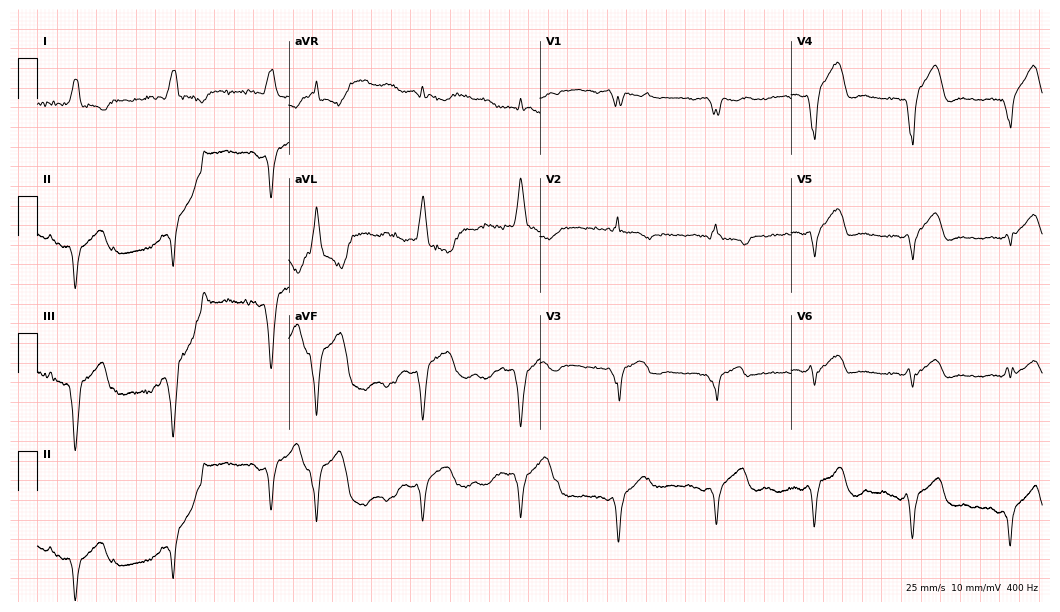
Resting 12-lead electrocardiogram. Patient: an 85-year-old female. None of these six findings is recorded: first-degree AV block, right bundle branch block, left bundle branch block, sinus bradycardia, atrial fibrillation, sinus tachycardia.